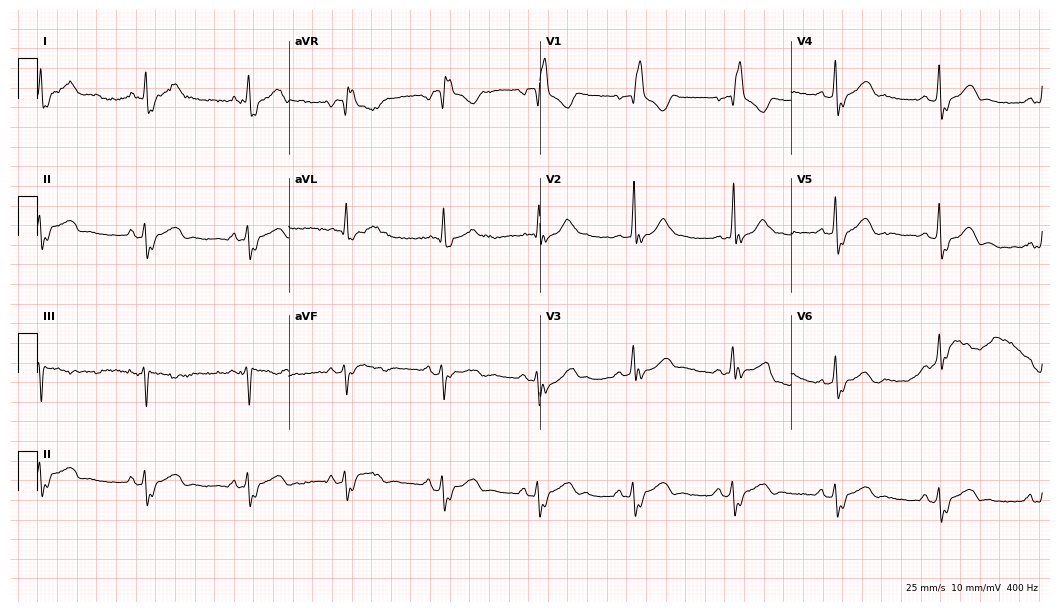
12-lead ECG from a 70-year-old male. Shows right bundle branch block.